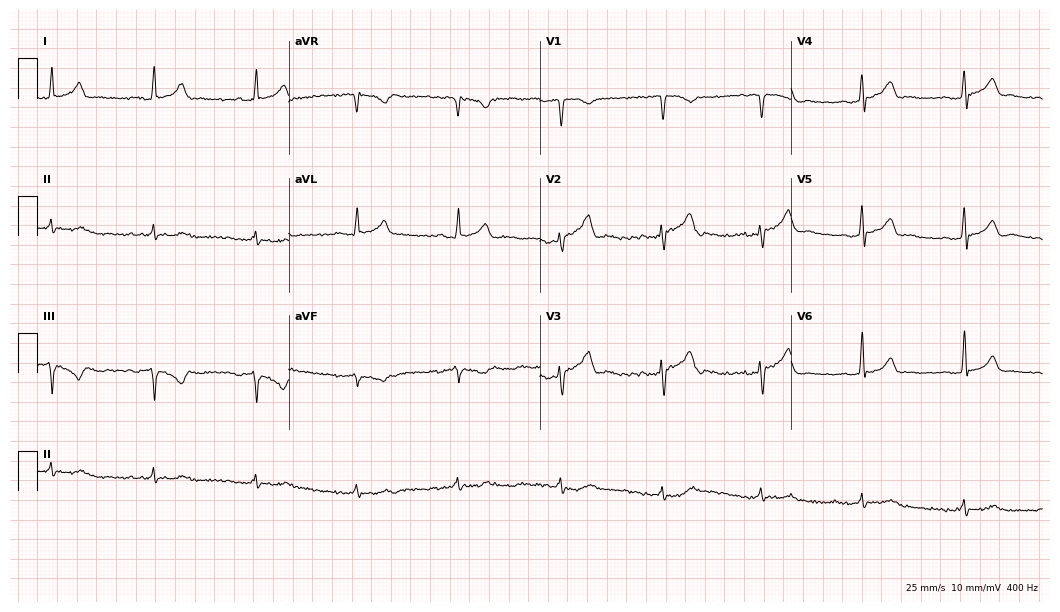
Electrocardiogram, a 32-year-old male. Of the six screened findings (first-degree AV block, right bundle branch block (RBBB), left bundle branch block (LBBB), sinus bradycardia, atrial fibrillation (AF), sinus tachycardia), none is recorded. Other findings, if any, are not listed.